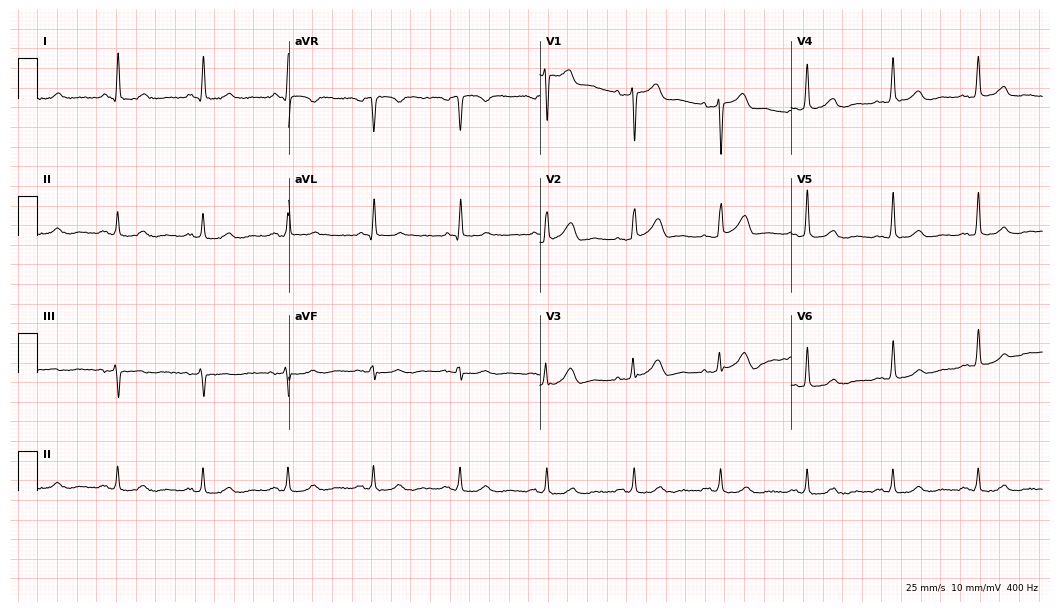
ECG (10.2-second recording at 400 Hz) — a 68-year-old man. Screened for six findings — first-degree AV block, right bundle branch block, left bundle branch block, sinus bradycardia, atrial fibrillation, sinus tachycardia — none is recorded. Other findings, if any, are not listed.